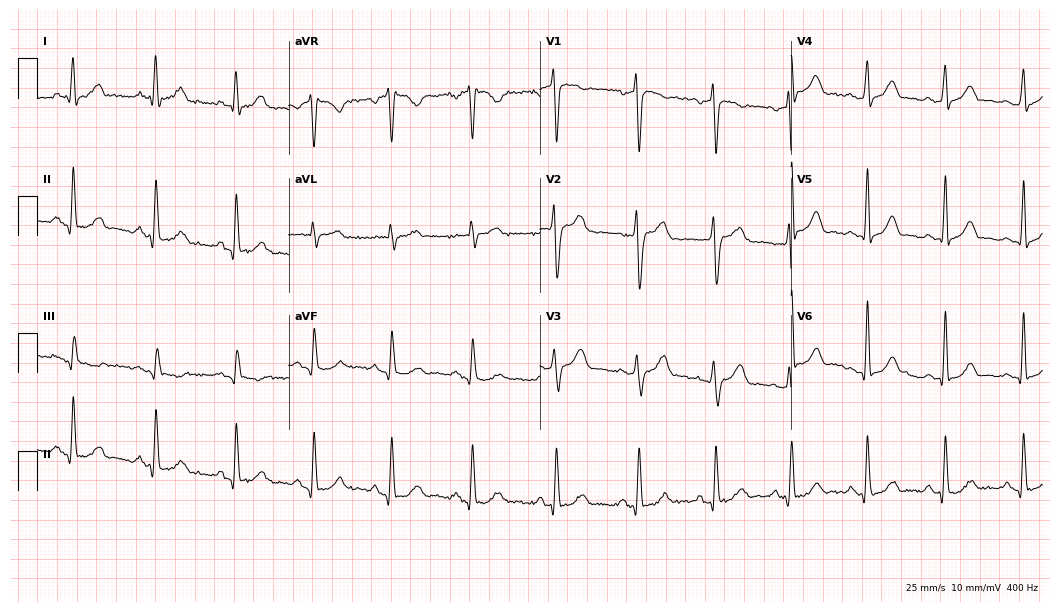
ECG (10.2-second recording at 400 Hz) — a male patient, 35 years old. Screened for six findings — first-degree AV block, right bundle branch block (RBBB), left bundle branch block (LBBB), sinus bradycardia, atrial fibrillation (AF), sinus tachycardia — none is recorded.